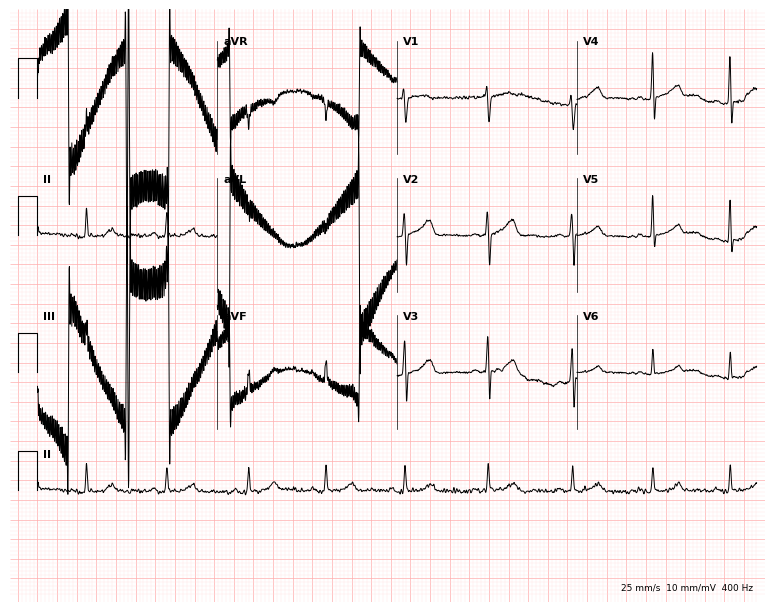
Resting 12-lead electrocardiogram (7.3-second recording at 400 Hz). Patient: a 40-year-old woman. None of these six findings is recorded: first-degree AV block, right bundle branch block, left bundle branch block, sinus bradycardia, atrial fibrillation, sinus tachycardia. Other findings, if any, are not listed.